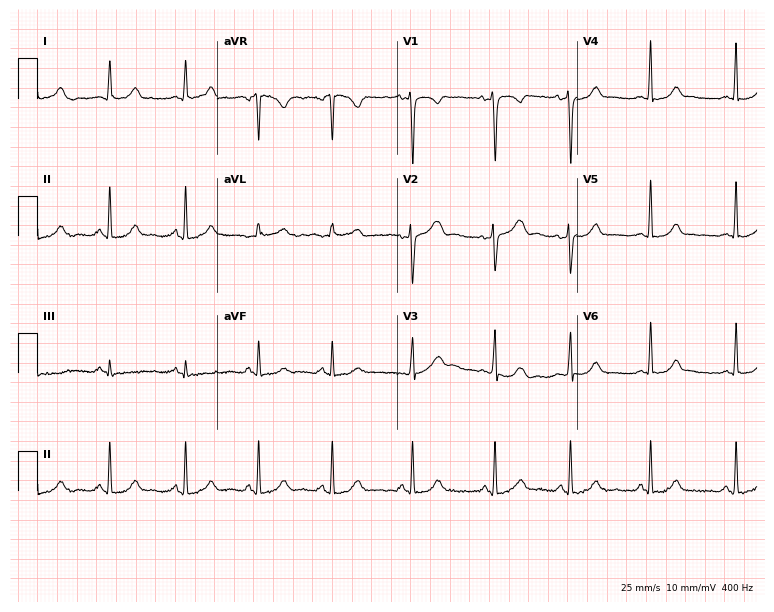
12-lead ECG from a woman, 28 years old. Recorded interpretation: within normal limits.